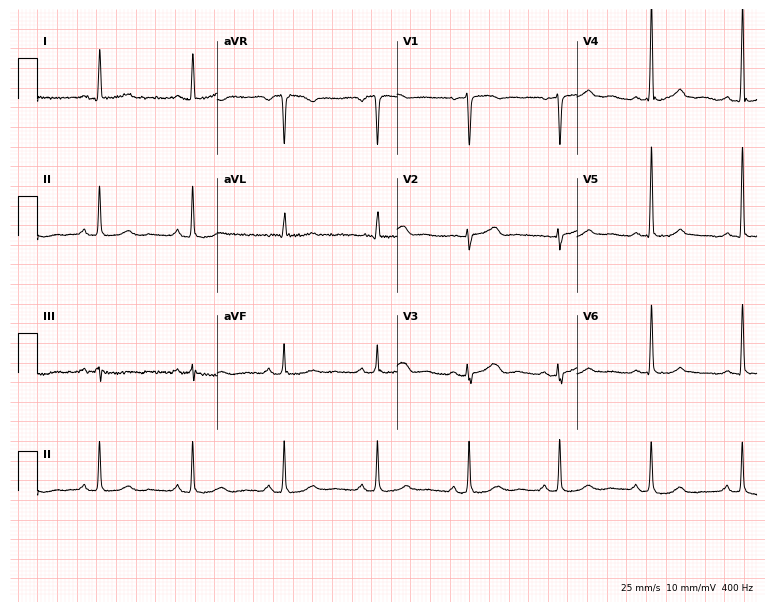
ECG (7.3-second recording at 400 Hz) — a female, 59 years old. Screened for six findings — first-degree AV block, right bundle branch block (RBBB), left bundle branch block (LBBB), sinus bradycardia, atrial fibrillation (AF), sinus tachycardia — none is recorded.